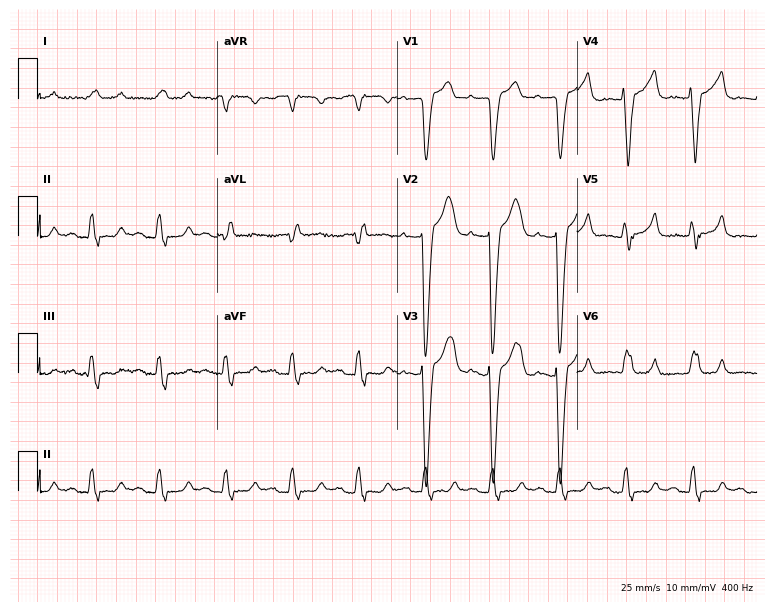
12-lead ECG from a 48-year-old male patient. Shows first-degree AV block, left bundle branch block.